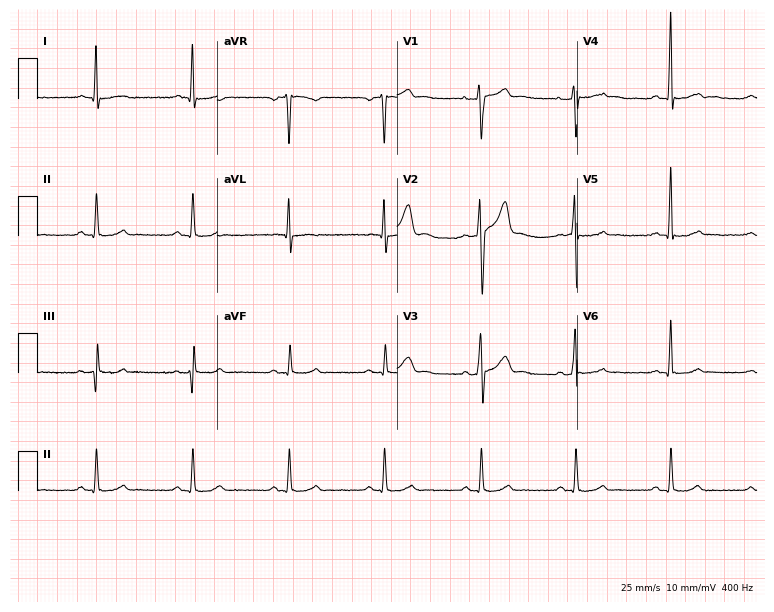
Resting 12-lead electrocardiogram (7.3-second recording at 400 Hz). Patient: a 41-year-old male. Read as a normal ECG.